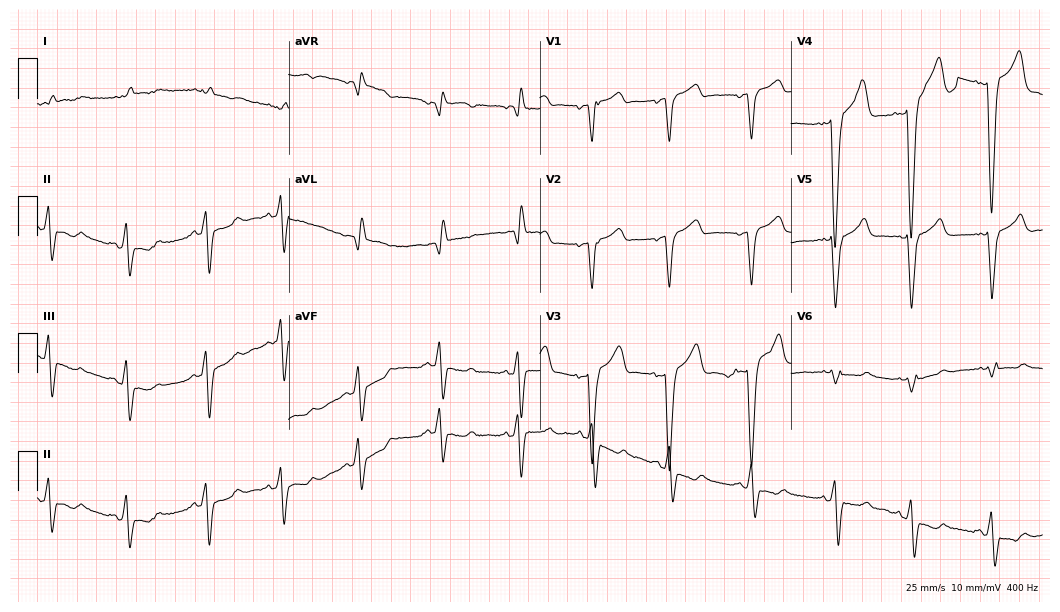
12-lead ECG (10.2-second recording at 400 Hz) from an 83-year-old man. Screened for six findings — first-degree AV block, right bundle branch block (RBBB), left bundle branch block (LBBB), sinus bradycardia, atrial fibrillation (AF), sinus tachycardia — none is recorded.